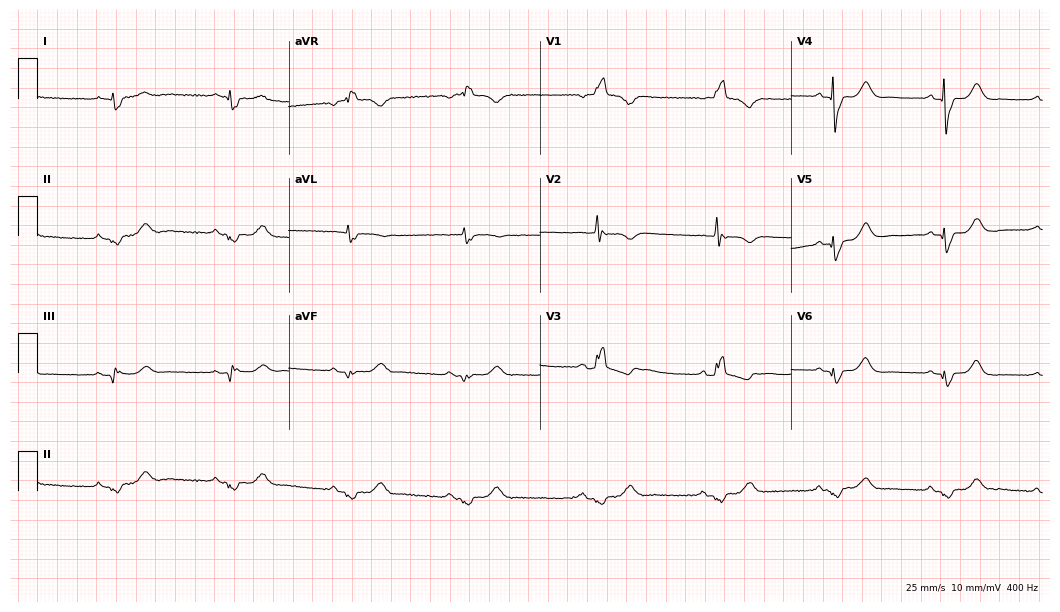
12-lead ECG from a man, 62 years old. No first-degree AV block, right bundle branch block (RBBB), left bundle branch block (LBBB), sinus bradycardia, atrial fibrillation (AF) or sinus tachycardia recorded for this tracing.